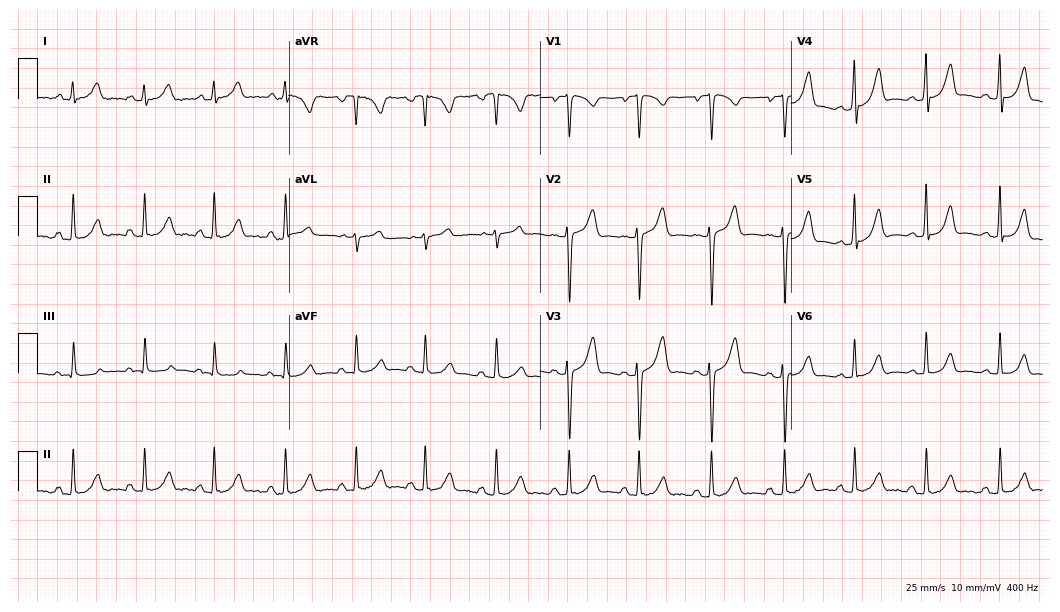
Standard 12-lead ECG recorded from a woman, 31 years old. Read as a normal ECG.